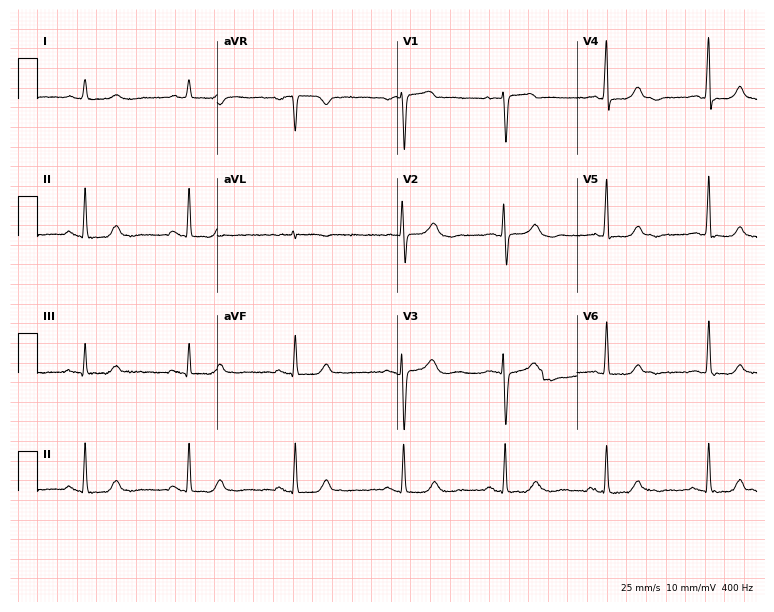
Resting 12-lead electrocardiogram (7.3-second recording at 400 Hz). Patient: a 71-year-old female. Read as a normal ECG.